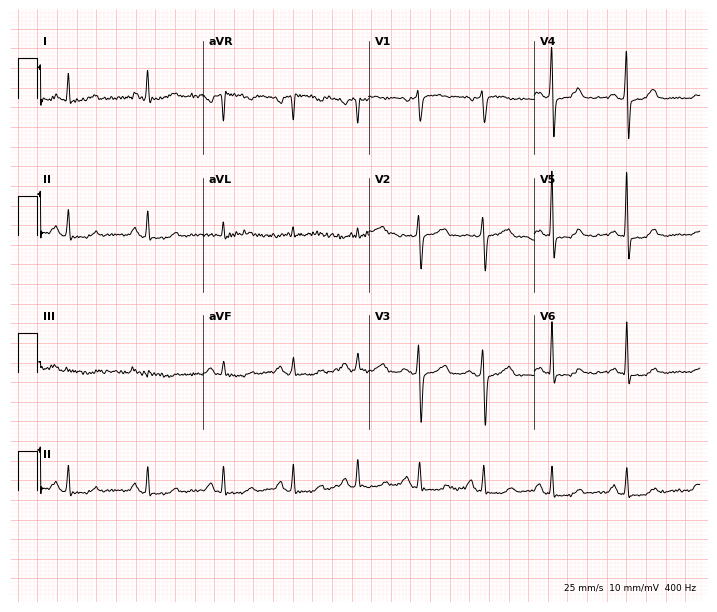
ECG — a 56-year-old female. Screened for six findings — first-degree AV block, right bundle branch block, left bundle branch block, sinus bradycardia, atrial fibrillation, sinus tachycardia — none is recorded.